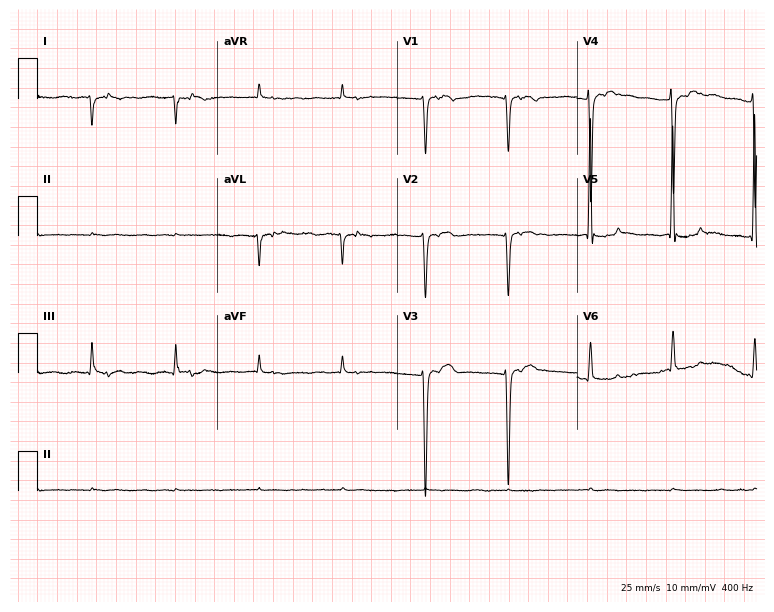
ECG (7.3-second recording at 400 Hz) — a female, 80 years old. Screened for six findings — first-degree AV block, right bundle branch block, left bundle branch block, sinus bradycardia, atrial fibrillation, sinus tachycardia — none is recorded. Other findings, if any, are not listed.